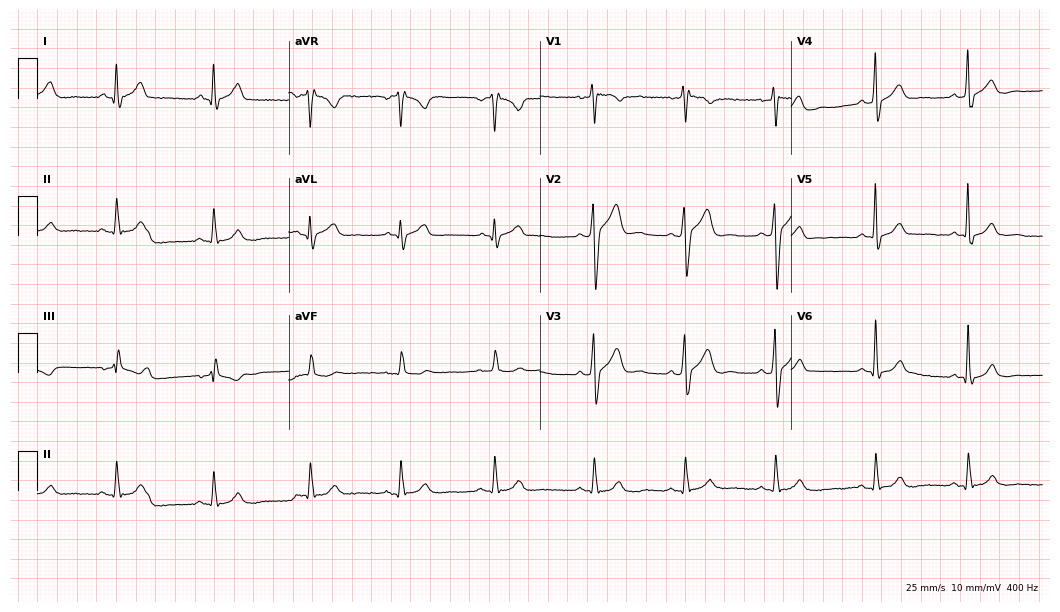
Electrocardiogram (10.2-second recording at 400 Hz), a man, 43 years old. Of the six screened findings (first-degree AV block, right bundle branch block, left bundle branch block, sinus bradycardia, atrial fibrillation, sinus tachycardia), none is recorded.